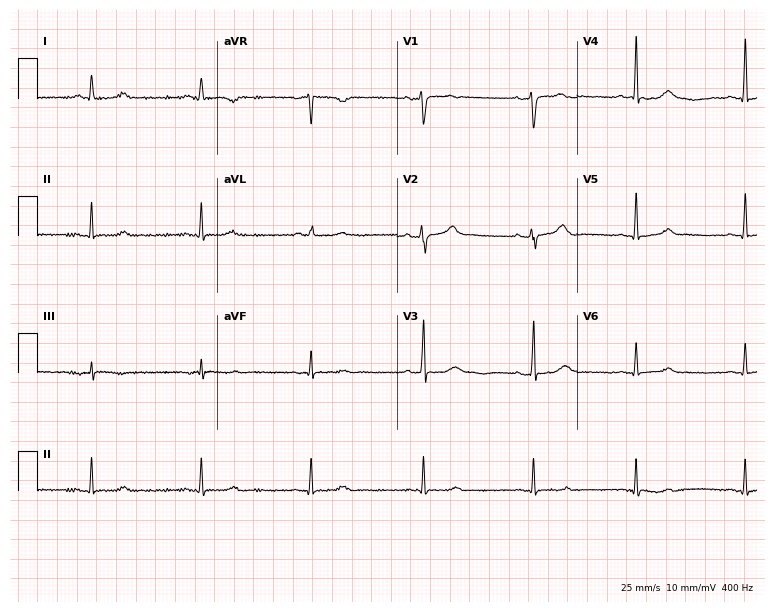
ECG (7.3-second recording at 400 Hz) — a woman, 55 years old. Labelled as a normal ECG.